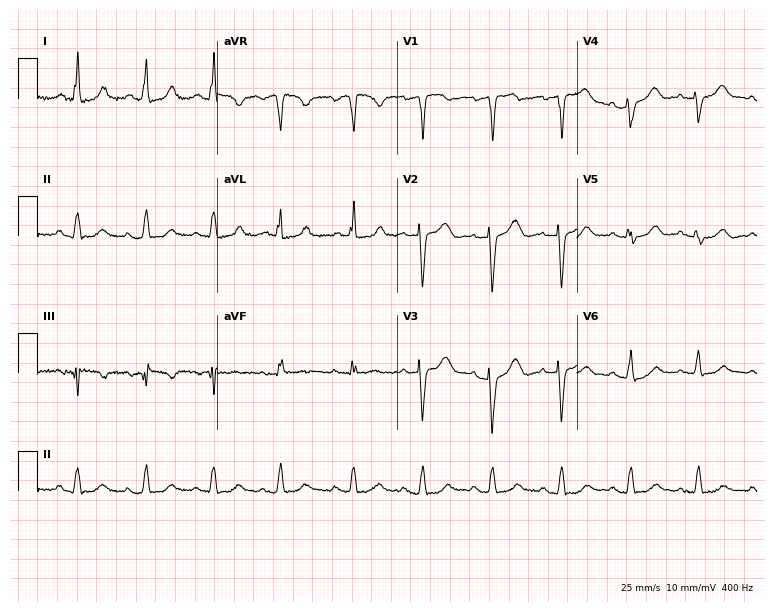
Electrocardiogram (7.3-second recording at 400 Hz), an 84-year-old woman. Overall reading on record: normal ECG.